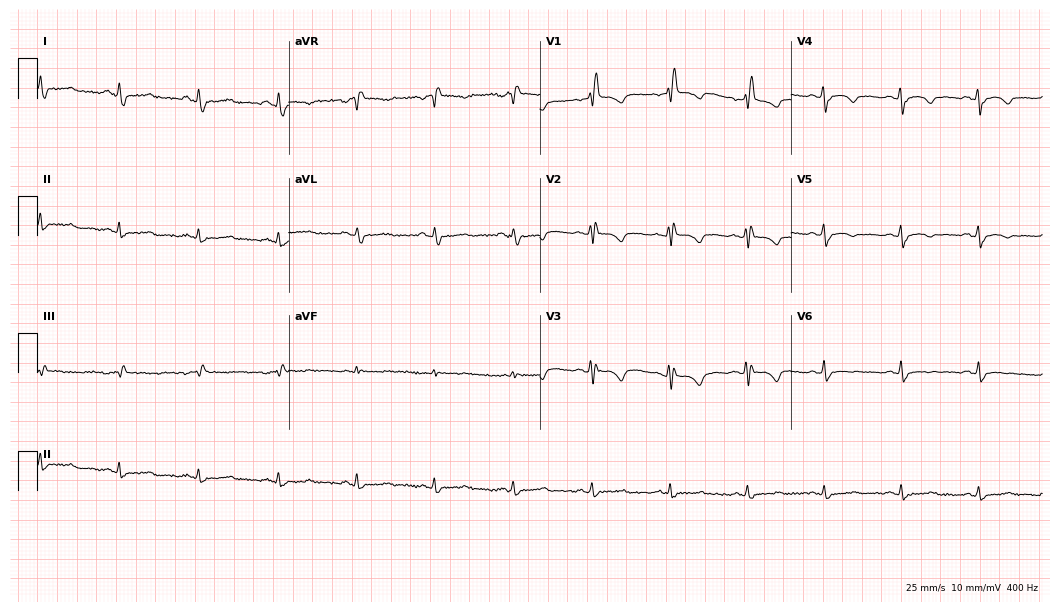
ECG — a female patient, 61 years old. Screened for six findings — first-degree AV block, right bundle branch block, left bundle branch block, sinus bradycardia, atrial fibrillation, sinus tachycardia — none is recorded.